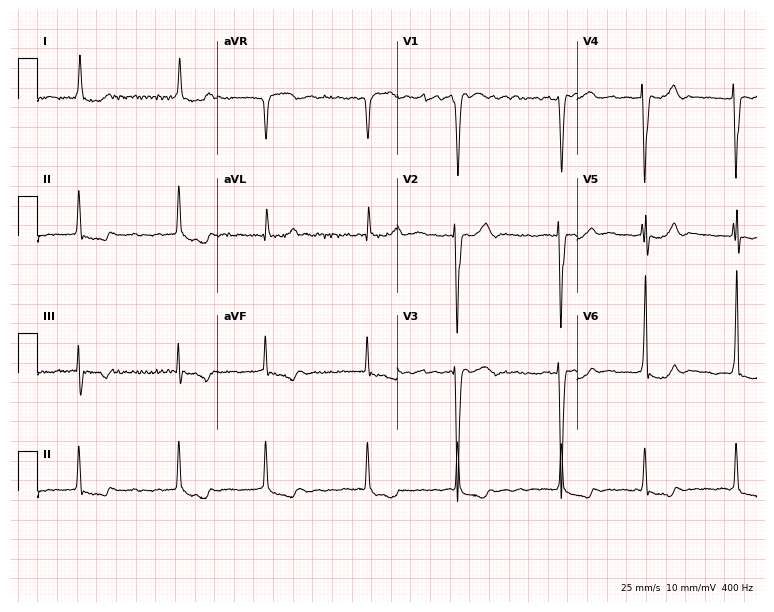
12-lead ECG from a 78-year-old female. Findings include atrial fibrillation (AF).